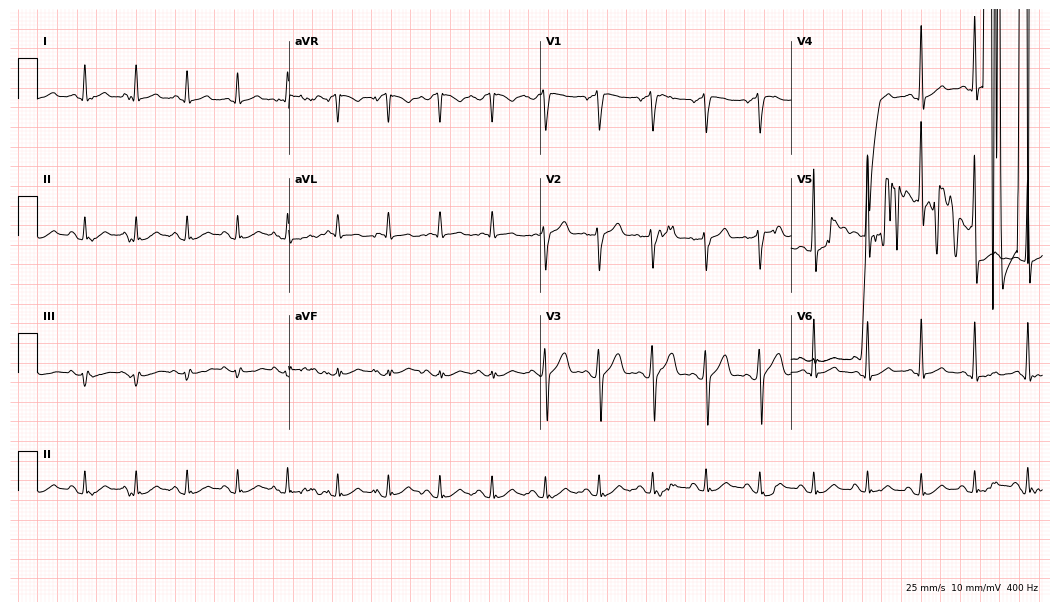
12-lead ECG from a 22-year-old woman (10.2-second recording at 400 Hz). Shows sinus tachycardia (a sinus rate of 100 beats per minute or more).